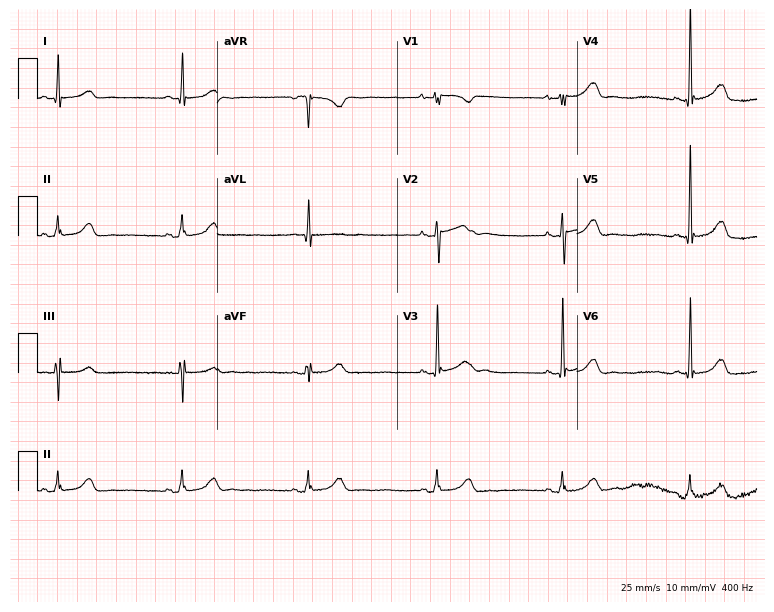
Standard 12-lead ECG recorded from a woman, 20 years old. The tracing shows sinus bradycardia (a sinus rate of 50 beats per minute or less).